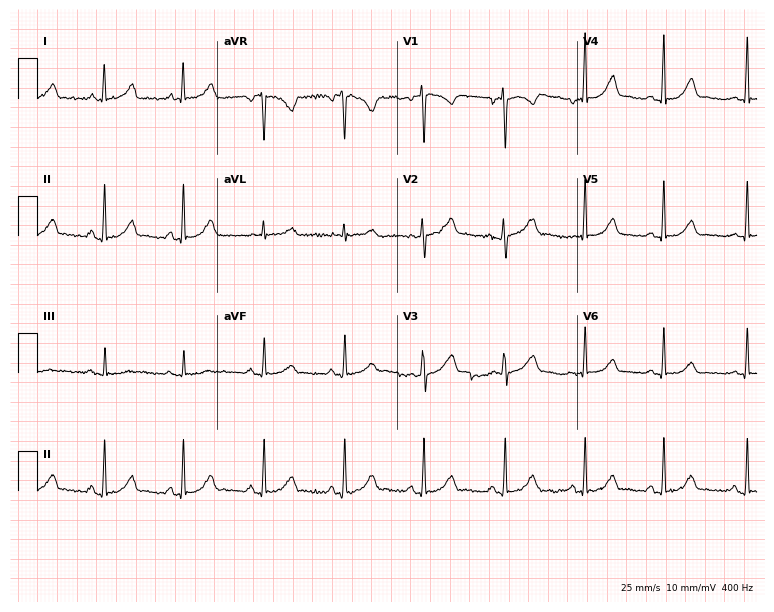
ECG (7.3-second recording at 400 Hz) — a female patient, 31 years old. Labelled as a normal ECG.